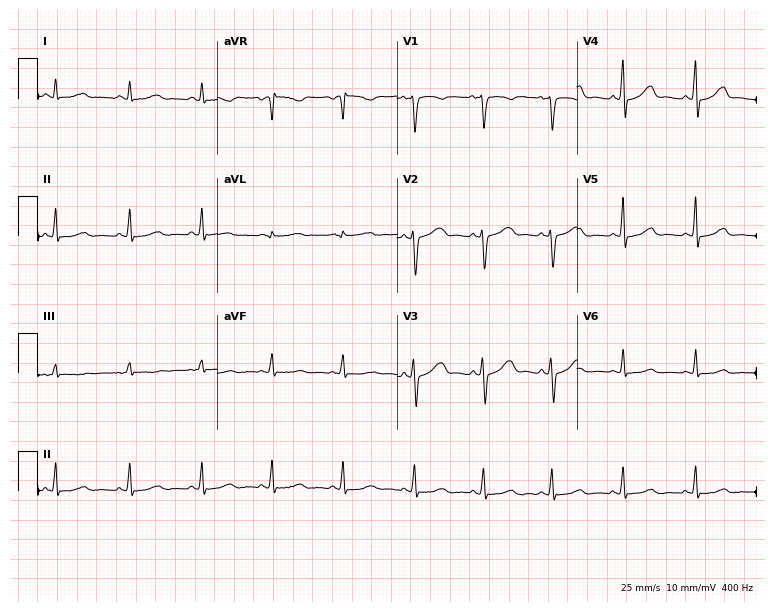
12-lead ECG from a female, 44 years old. No first-degree AV block, right bundle branch block, left bundle branch block, sinus bradycardia, atrial fibrillation or sinus tachycardia recorded for this tracing. Only these six findings were labelled.